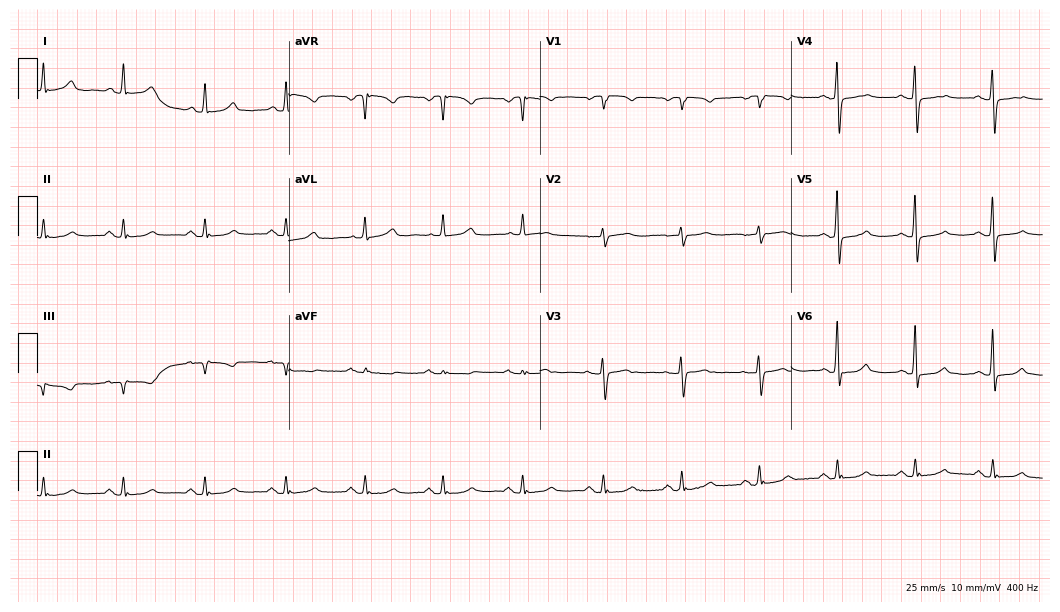
ECG (10.2-second recording at 400 Hz) — a 67-year-old female patient. Labelled as a normal ECG.